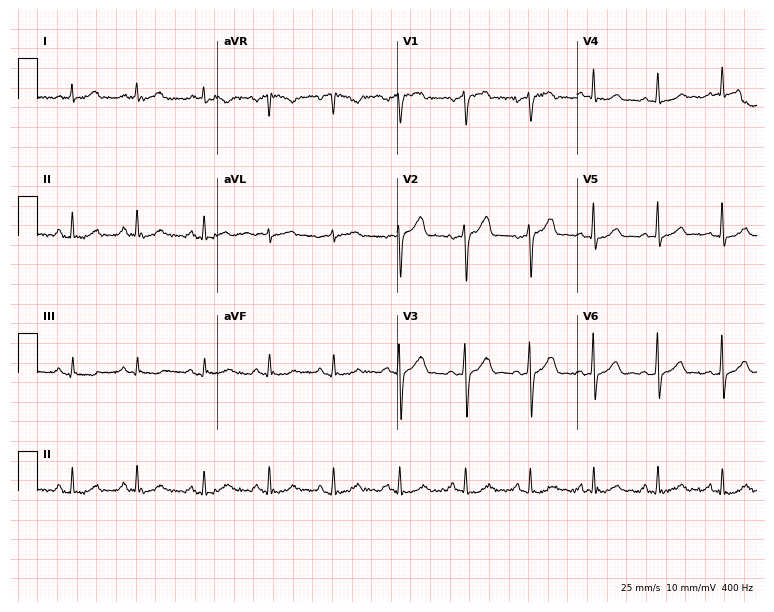
ECG — a 55-year-old man. Labelled as a normal ECG.